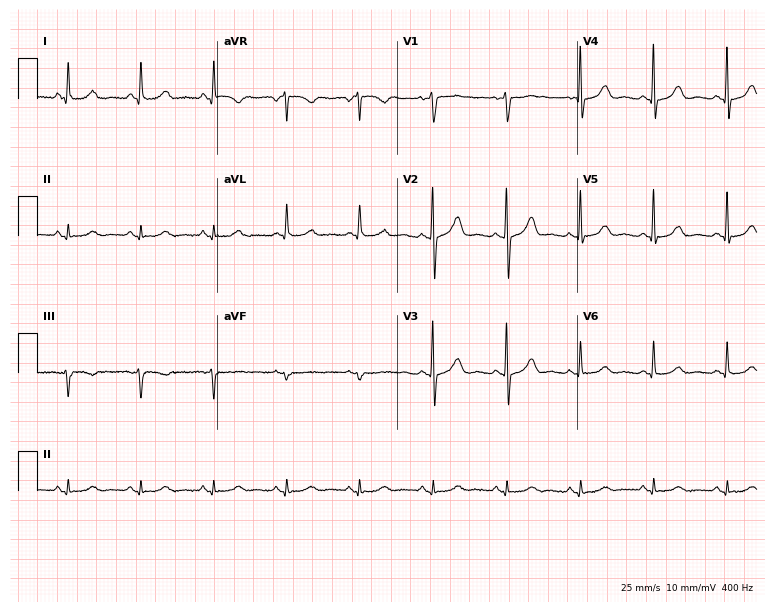
Electrocardiogram, a 56-year-old woman. Overall reading on record: normal ECG.